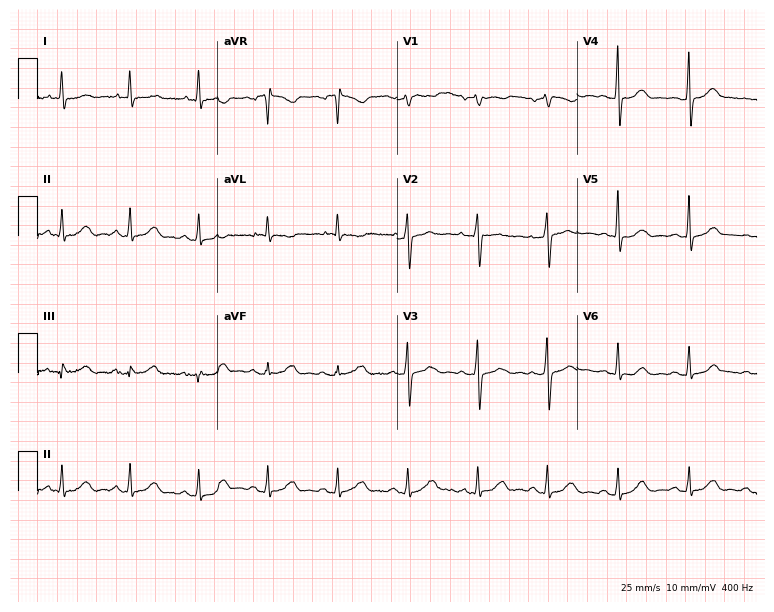
Resting 12-lead electrocardiogram (7.3-second recording at 400 Hz). Patient: an 83-year-old male. Read as a normal ECG.